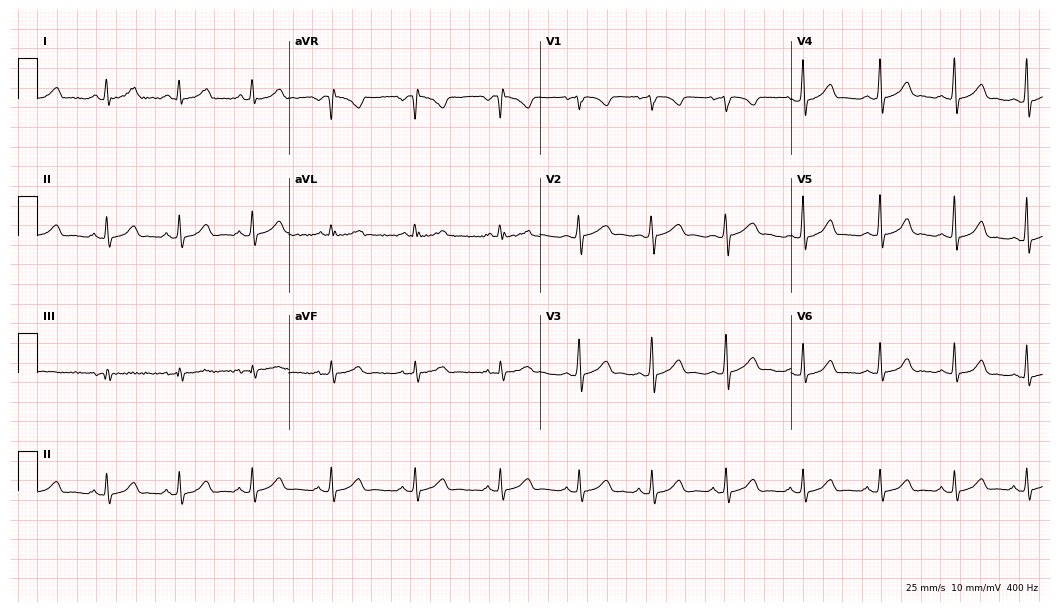
Standard 12-lead ECG recorded from a 24-year-old female patient. Read as a normal ECG.